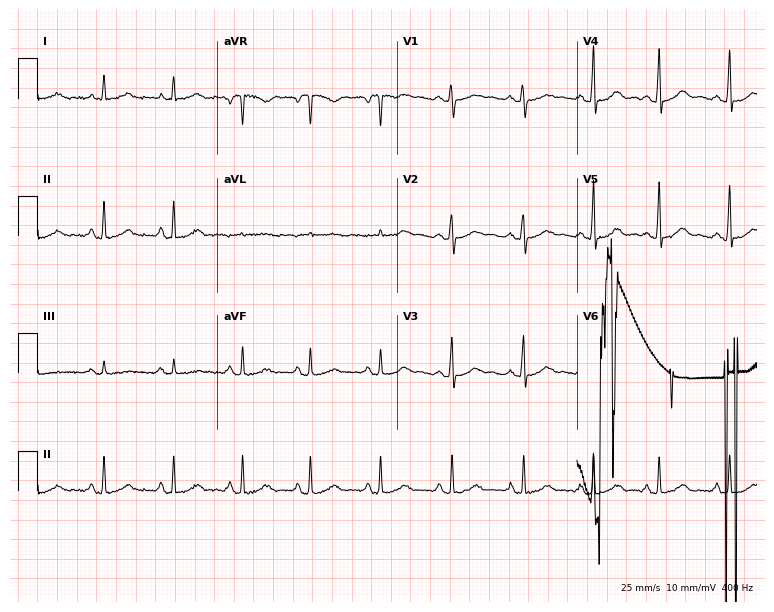
Electrocardiogram (7.3-second recording at 400 Hz), a female patient, 32 years old. Overall reading on record: normal ECG.